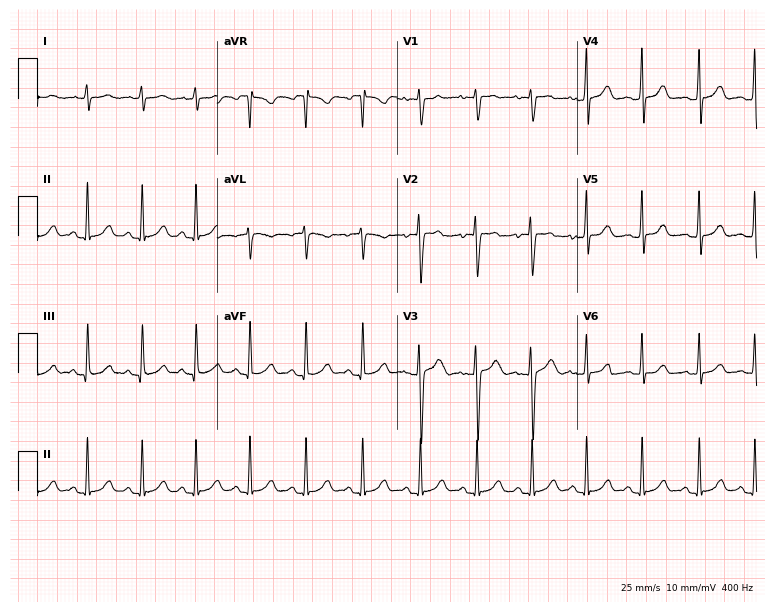
Electrocardiogram (7.3-second recording at 400 Hz), a 17-year-old female. Interpretation includes sinus tachycardia (a sinus rate of 100 beats per minute or more).